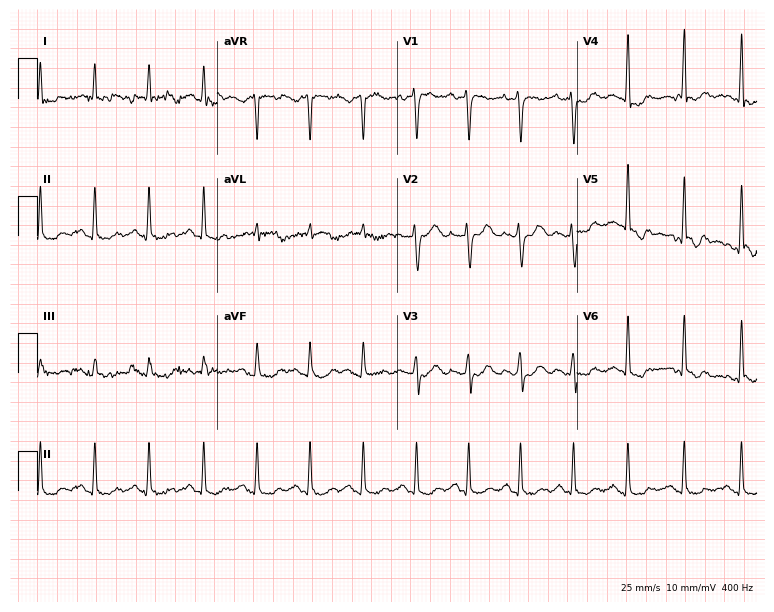
ECG (7.3-second recording at 400 Hz) — a 46-year-old woman. Findings include sinus tachycardia (a sinus rate of 100 beats per minute or more).